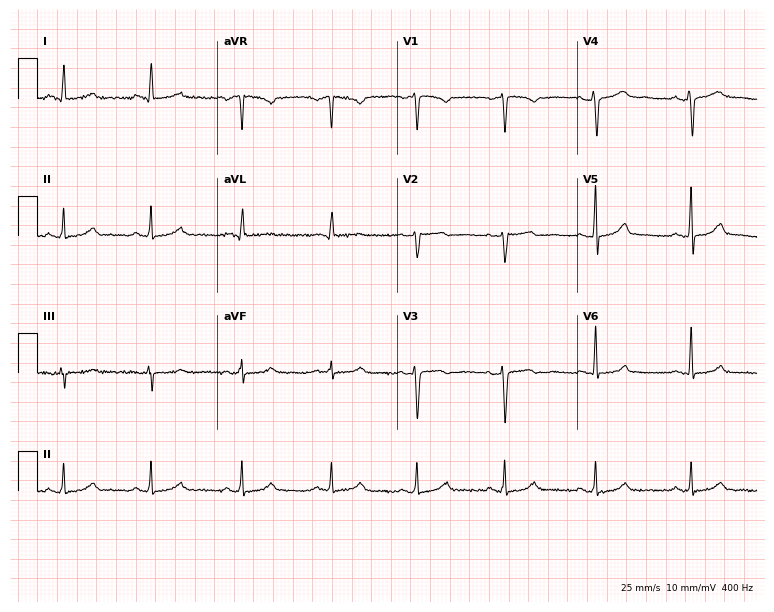
Resting 12-lead electrocardiogram (7.3-second recording at 400 Hz). Patient: a 49-year-old female. None of these six findings is recorded: first-degree AV block, right bundle branch block, left bundle branch block, sinus bradycardia, atrial fibrillation, sinus tachycardia.